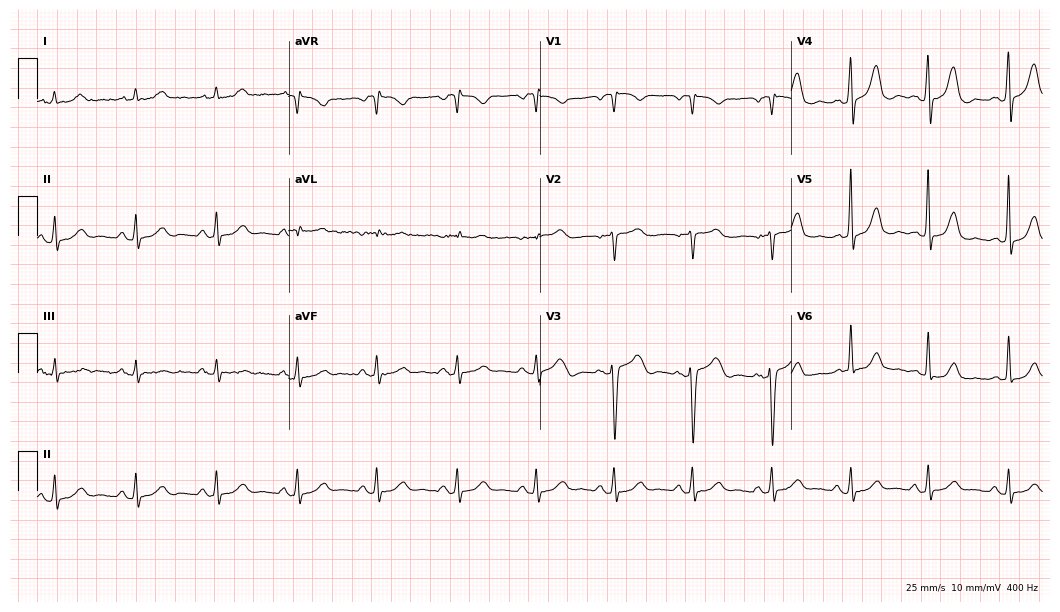
ECG — a female patient, 65 years old. Screened for six findings — first-degree AV block, right bundle branch block, left bundle branch block, sinus bradycardia, atrial fibrillation, sinus tachycardia — none is recorded.